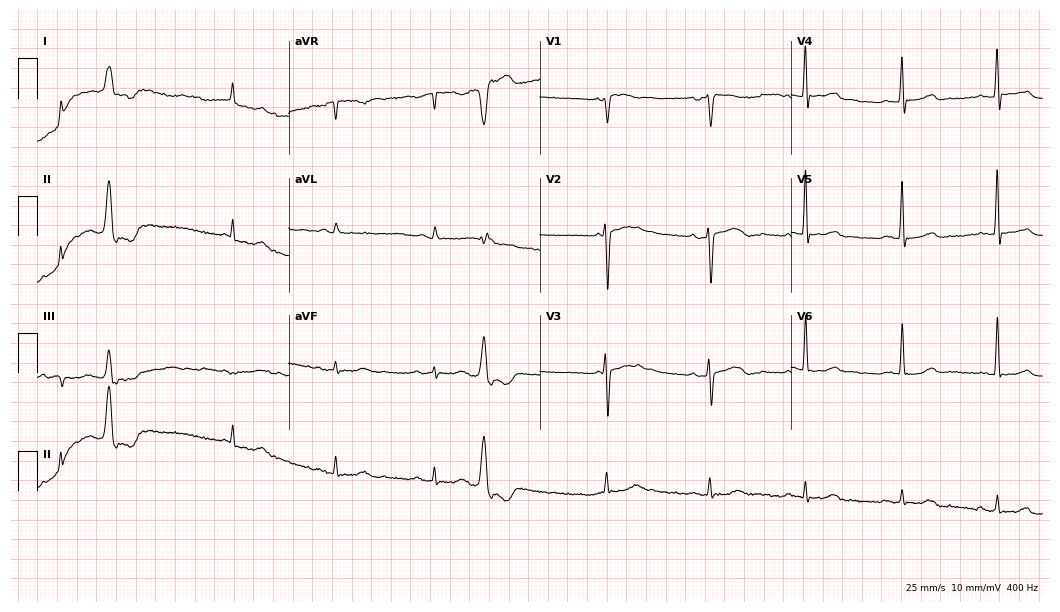
ECG (10.2-second recording at 400 Hz) — an 83-year-old man. Screened for six findings — first-degree AV block, right bundle branch block, left bundle branch block, sinus bradycardia, atrial fibrillation, sinus tachycardia — none is recorded. Other findings, if any, are not listed.